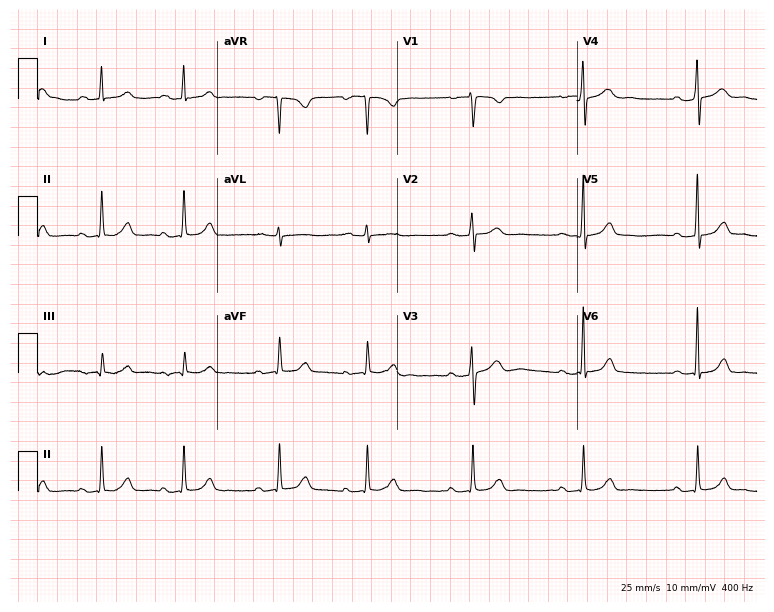
ECG — a 26-year-old female. Findings include first-degree AV block.